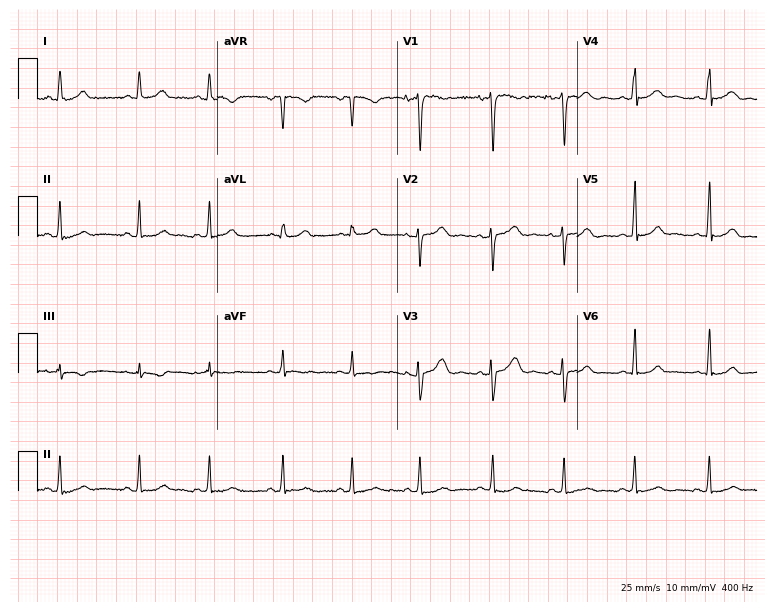
Resting 12-lead electrocardiogram (7.3-second recording at 400 Hz). Patient: a 21-year-old female. Read as a normal ECG.